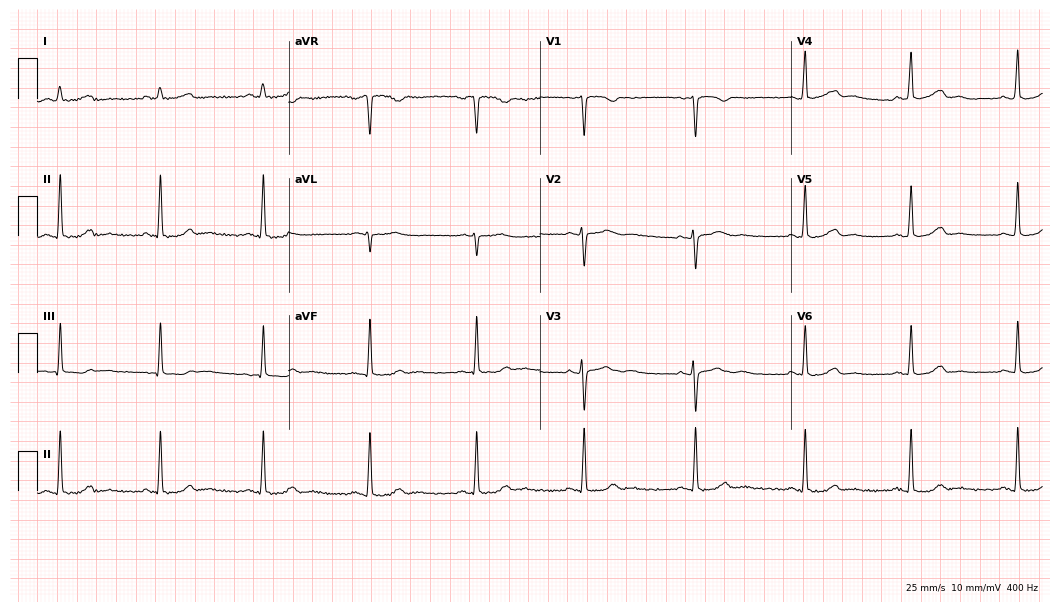
ECG — a female patient, 39 years old. Labelled as a normal ECG.